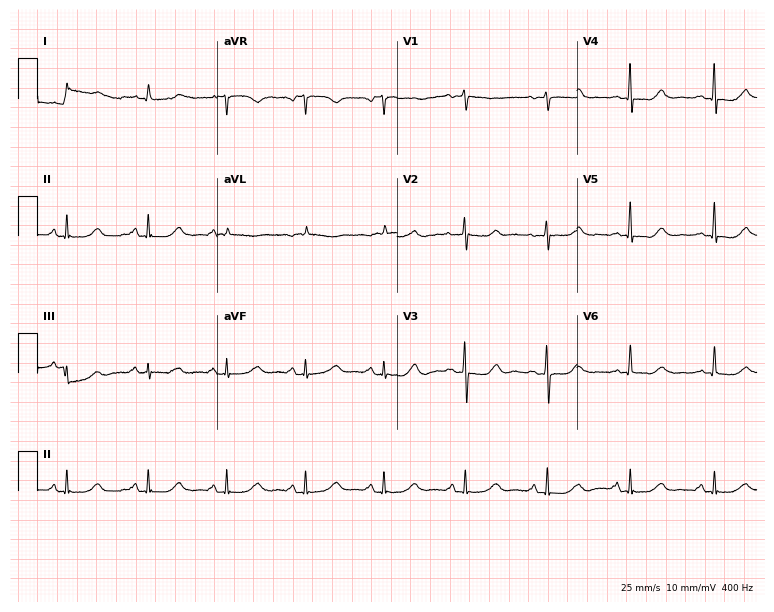
12-lead ECG from a female, 63 years old. Screened for six findings — first-degree AV block, right bundle branch block, left bundle branch block, sinus bradycardia, atrial fibrillation, sinus tachycardia — none is recorded.